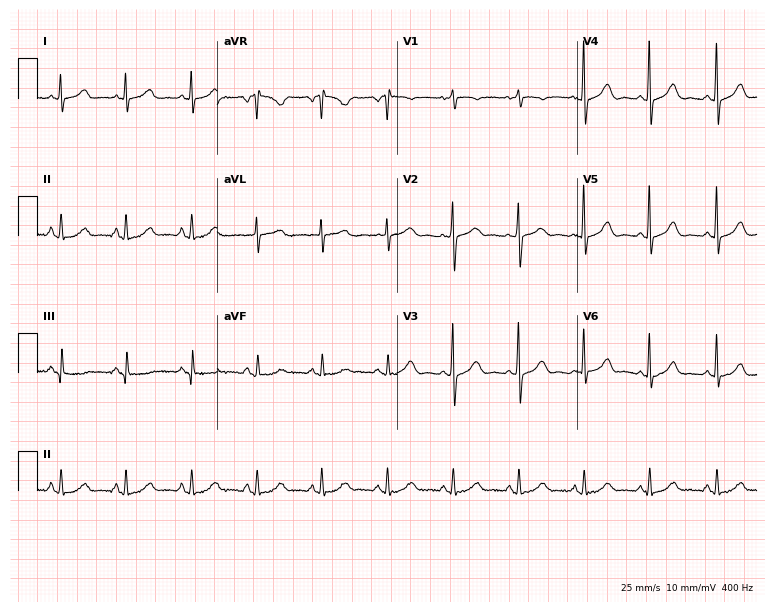
12-lead ECG from a 65-year-old woman. Screened for six findings — first-degree AV block, right bundle branch block, left bundle branch block, sinus bradycardia, atrial fibrillation, sinus tachycardia — none is recorded.